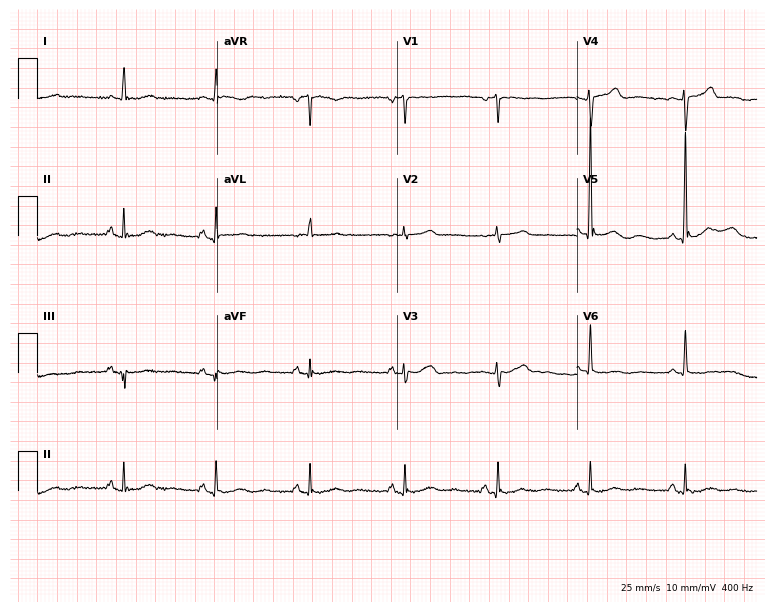
ECG — a woman, 76 years old. Screened for six findings — first-degree AV block, right bundle branch block, left bundle branch block, sinus bradycardia, atrial fibrillation, sinus tachycardia — none is recorded. Findings outside these six are not listed.